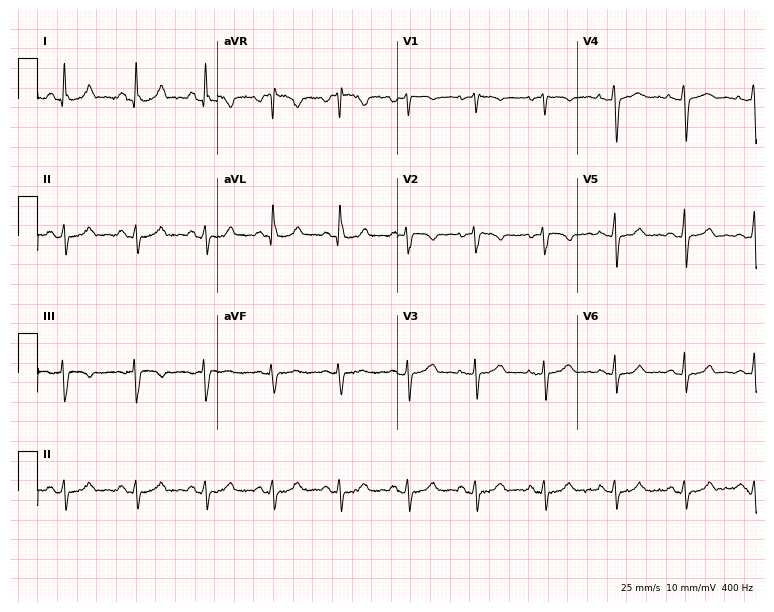
ECG (7.3-second recording at 400 Hz) — a female patient, 37 years old. Labelled as a normal ECG.